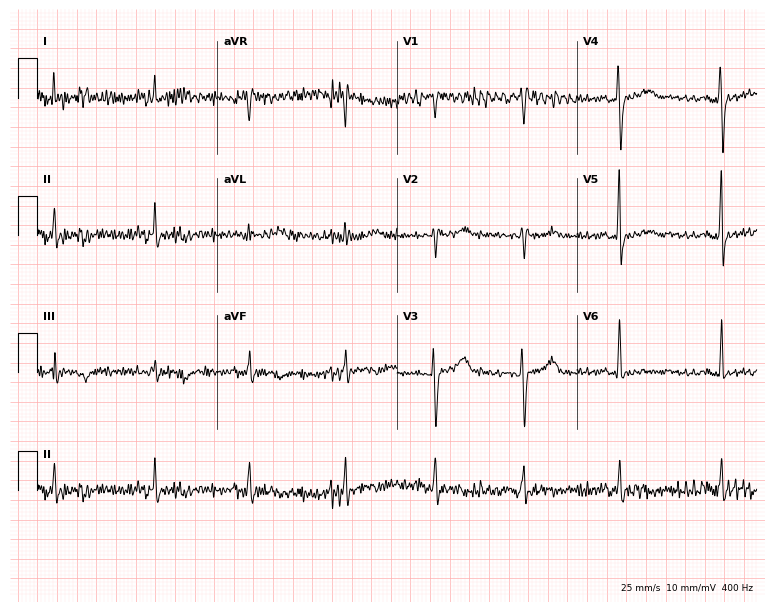
12-lead ECG from a female, 34 years old (7.3-second recording at 400 Hz). No first-degree AV block, right bundle branch block, left bundle branch block, sinus bradycardia, atrial fibrillation or sinus tachycardia recorded for this tracing.